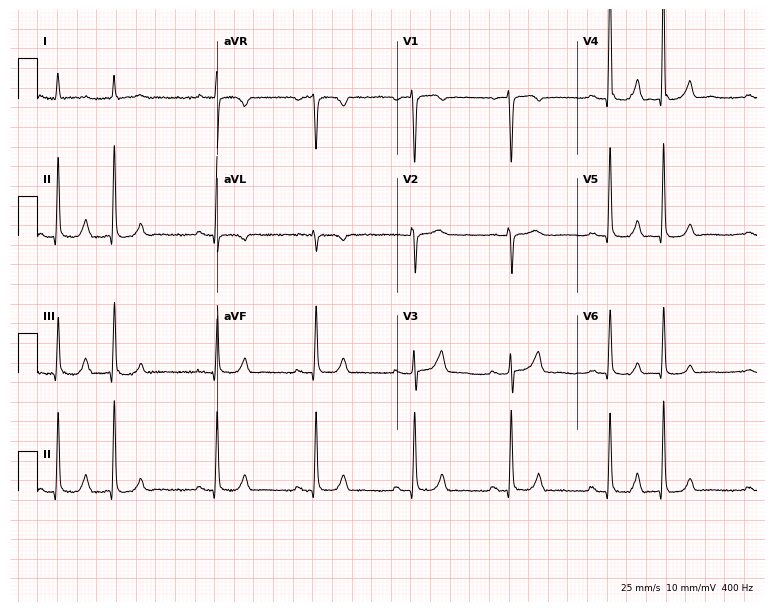
Resting 12-lead electrocardiogram (7.3-second recording at 400 Hz). Patient: a 44-year-old female. None of these six findings is recorded: first-degree AV block, right bundle branch block (RBBB), left bundle branch block (LBBB), sinus bradycardia, atrial fibrillation (AF), sinus tachycardia. Only these six findings were labelled.